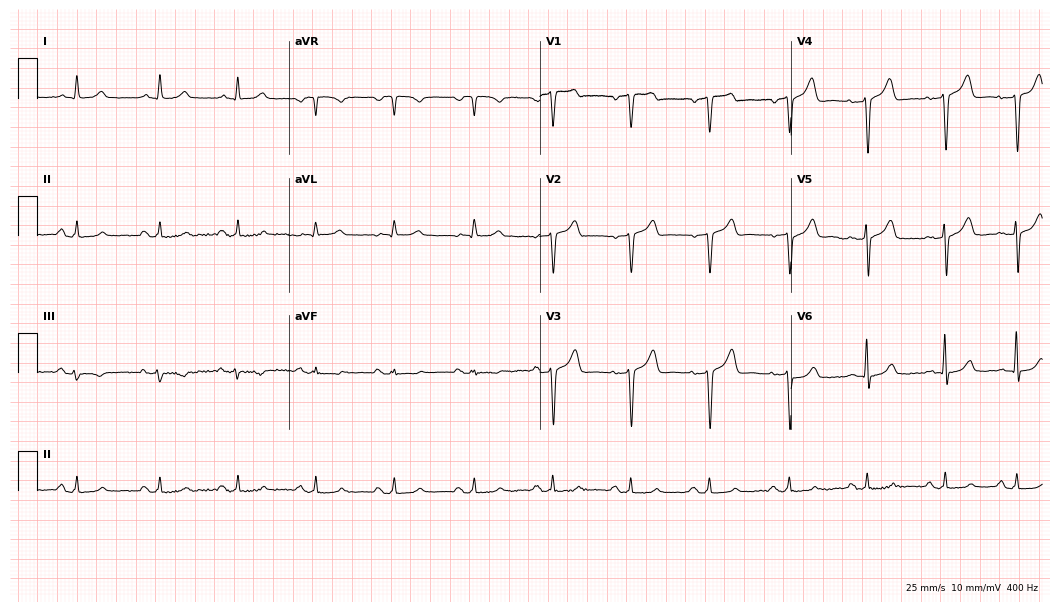
12-lead ECG from a man, 75 years old (10.2-second recording at 400 Hz). No first-degree AV block, right bundle branch block, left bundle branch block, sinus bradycardia, atrial fibrillation or sinus tachycardia recorded for this tracing. Other findings, if any, are not listed.